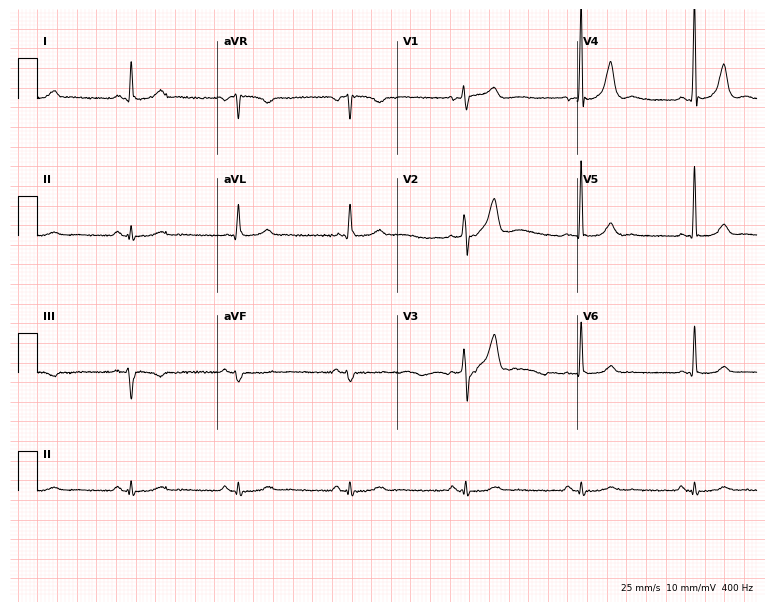
ECG (7.3-second recording at 400 Hz) — a man, 68 years old. Screened for six findings — first-degree AV block, right bundle branch block, left bundle branch block, sinus bradycardia, atrial fibrillation, sinus tachycardia — none is recorded. Only these six findings were labelled.